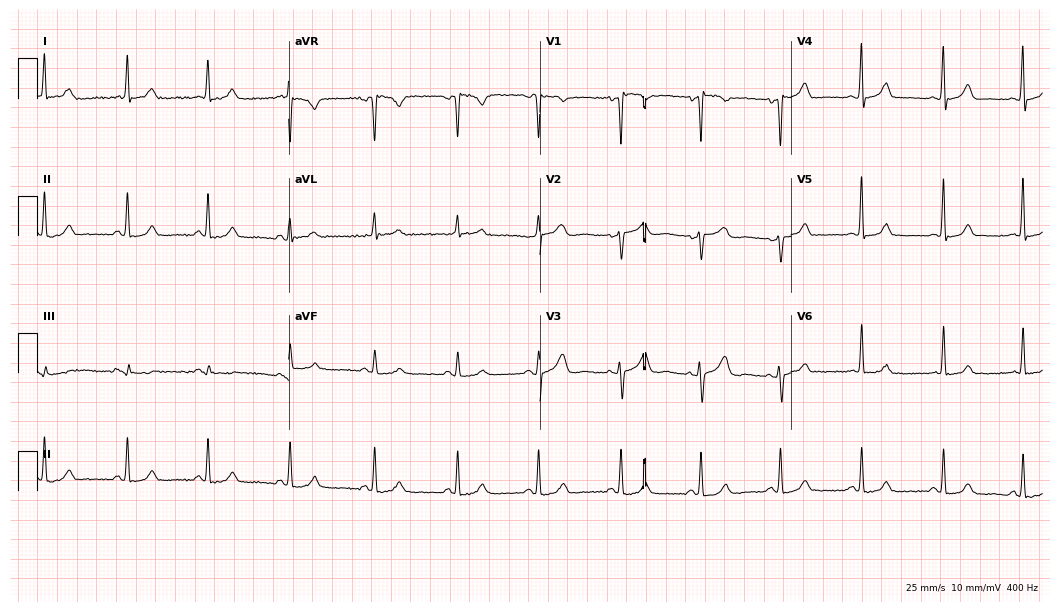
ECG — a female patient, 43 years old. Screened for six findings — first-degree AV block, right bundle branch block (RBBB), left bundle branch block (LBBB), sinus bradycardia, atrial fibrillation (AF), sinus tachycardia — none is recorded. Other findings, if any, are not listed.